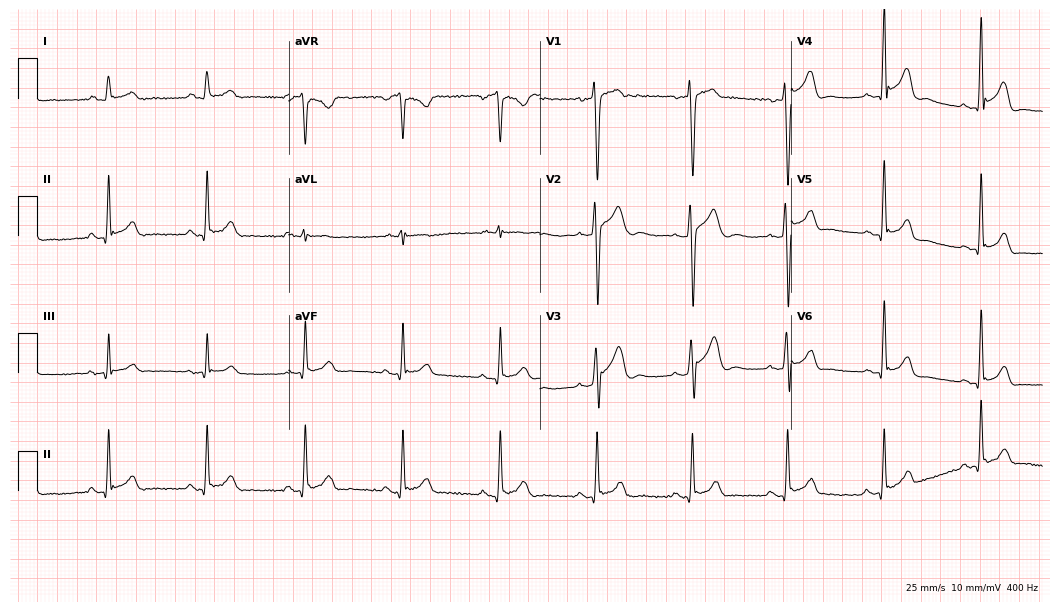
Standard 12-lead ECG recorded from a 42-year-old male (10.2-second recording at 400 Hz). None of these six findings is recorded: first-degree AV block, right bundle branch block (RBBB), left bundle branch block (LBBB), sinus bradycardia, atrial fibrillation (AF), sinus tachycardia. Only these six findings were labelled.